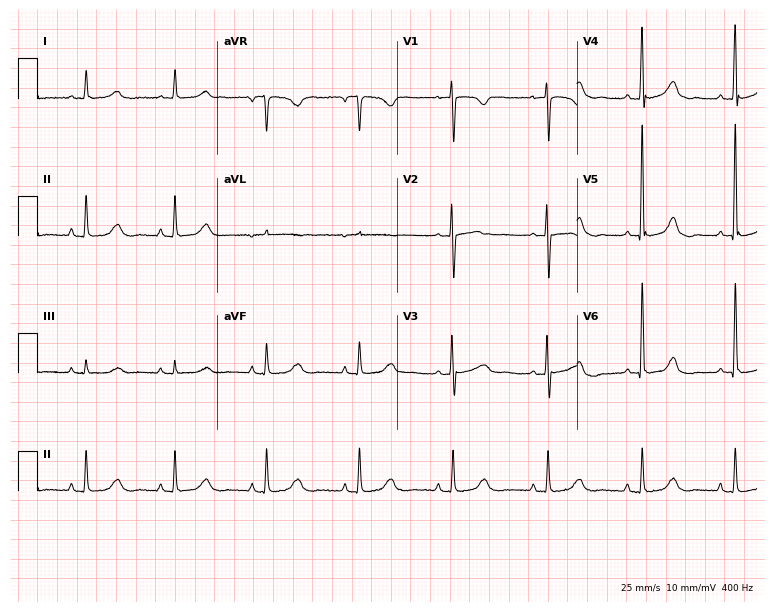
12-lead ECG from a 68-year-old woman. Screened for six findings — first-degree AV block, right bundle branch block, left bundle branch block, sinus bradycardia, atrial fibrillation, sinus tachycardia — none is recorded. Other findings, if any, are not listed.